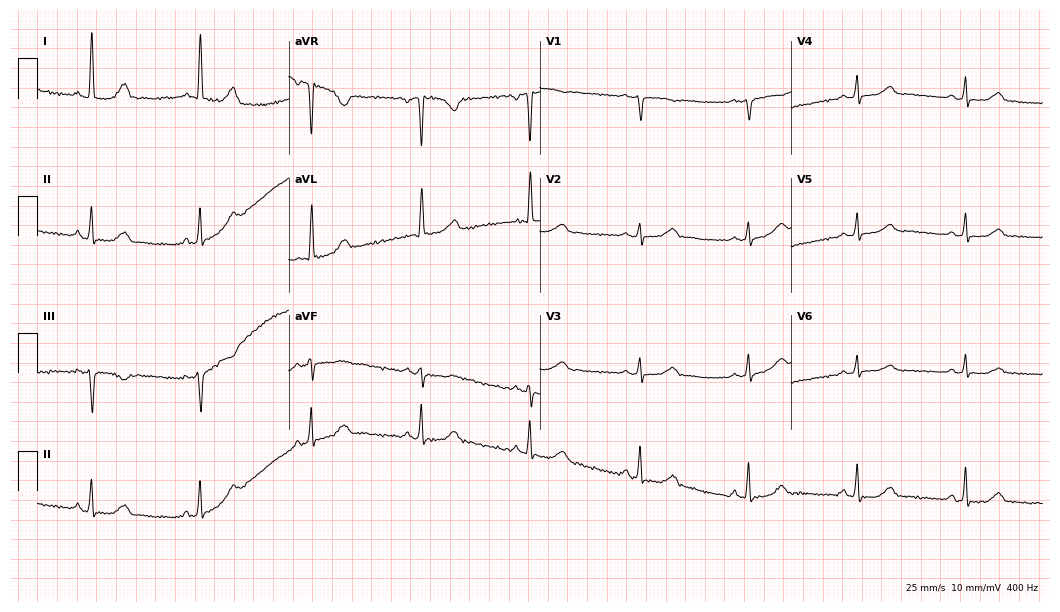
Electrocardiogram, a 64-year-old woman. Of the six screened findings (first-degree AV block, right bundle branch block, left bundle branch block, sinus bradycardia, atrial fibrillation, sinus tachycardia), none is recorded. Findings outside these six are not listed.